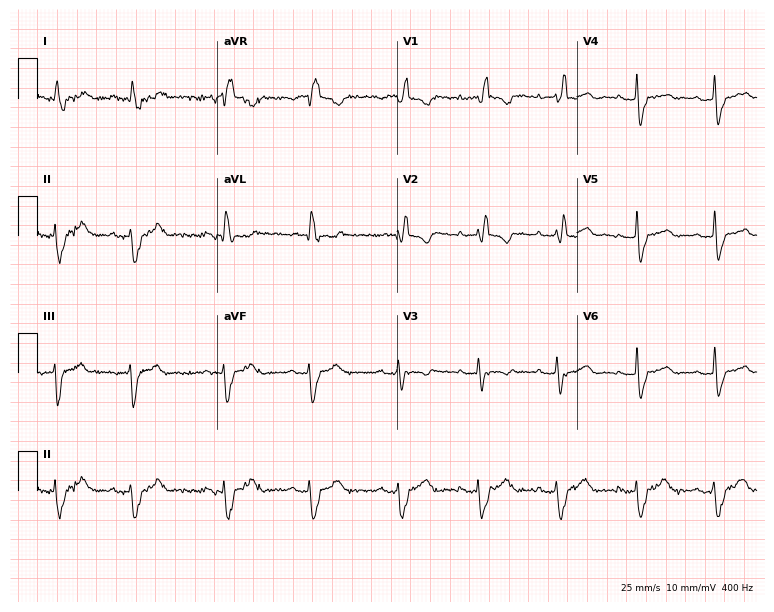
Standard 12-lead ECG recorded from a female, 85 years old. The tracing shows right bundle branch block.